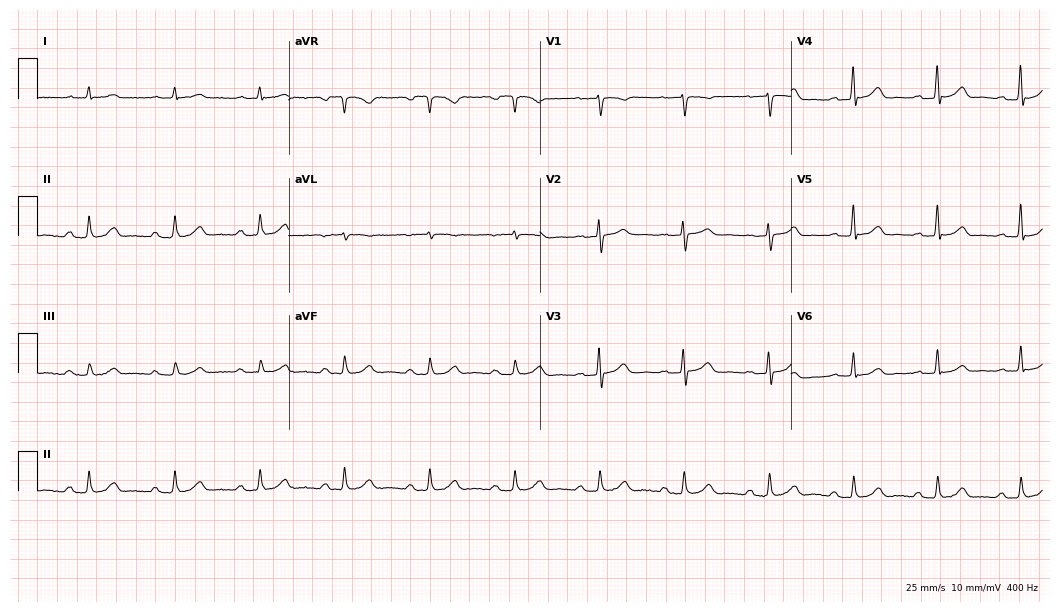
ECG — a male, 65 years old. Labelled as a normal ECG.